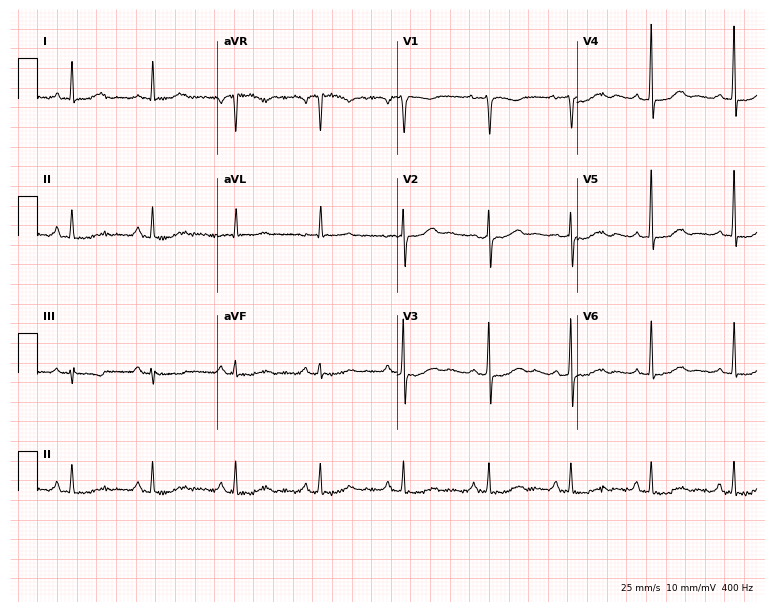
Resting 12-lead electrocardiogram (7.3-second recording at 400 Hz). Patient: a female, 53 years old. Read as a normal ECG.